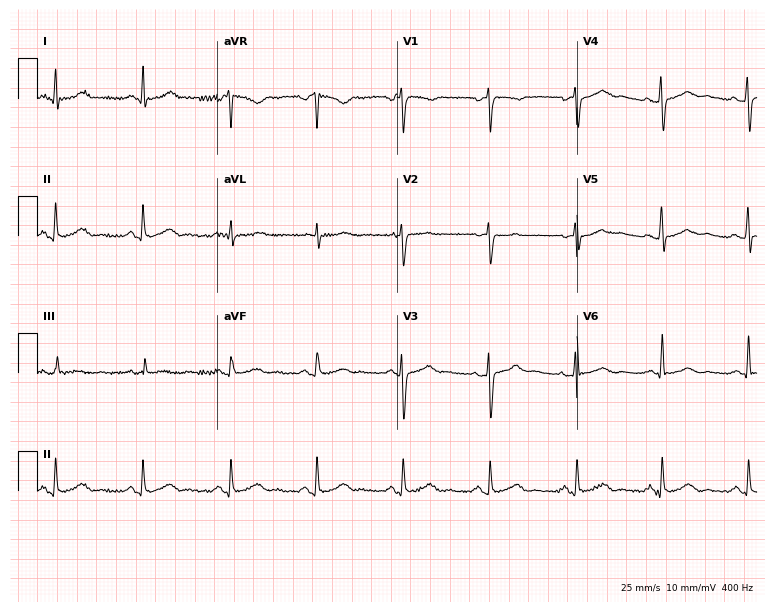
12-lead ECG from a female, 44 years old. No first-degree AV block, right bundle branch block, left bundle branch block, sinus bradycardia, atrial fibrillation or sinus tachycardia recorded for this tracing.